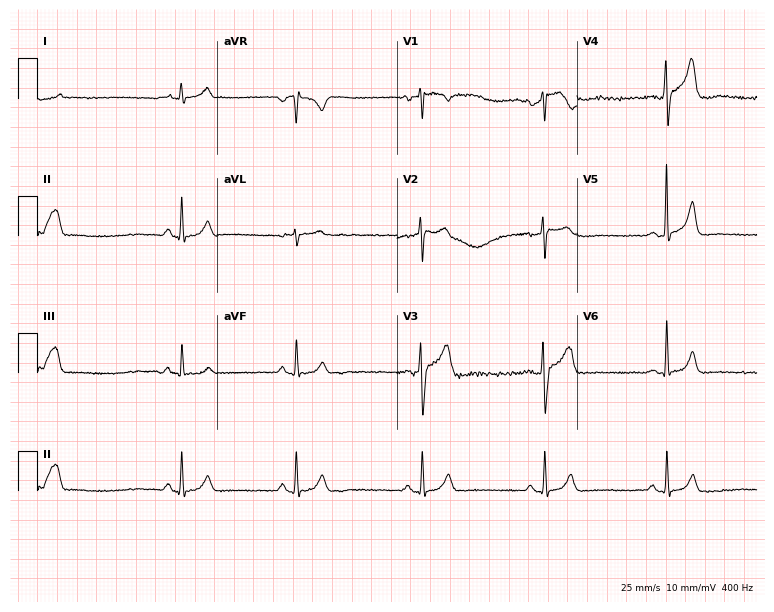
12-lead ECG from a 41-year-old man (7.3-second recording at 400 Hz). Shows sinus bradycardia (a sinus rate of 50 beats per minute or less).